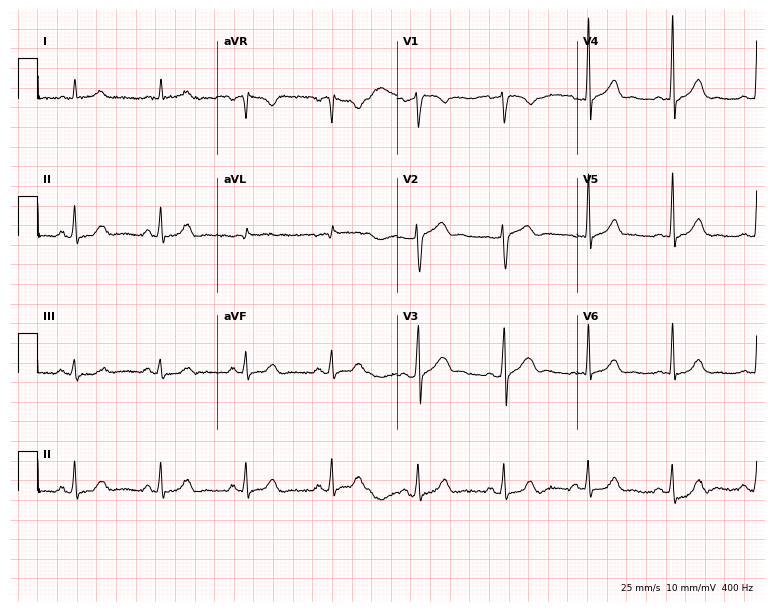
ECG — a 49-year-old male patient. Labelled as a normal ECG.